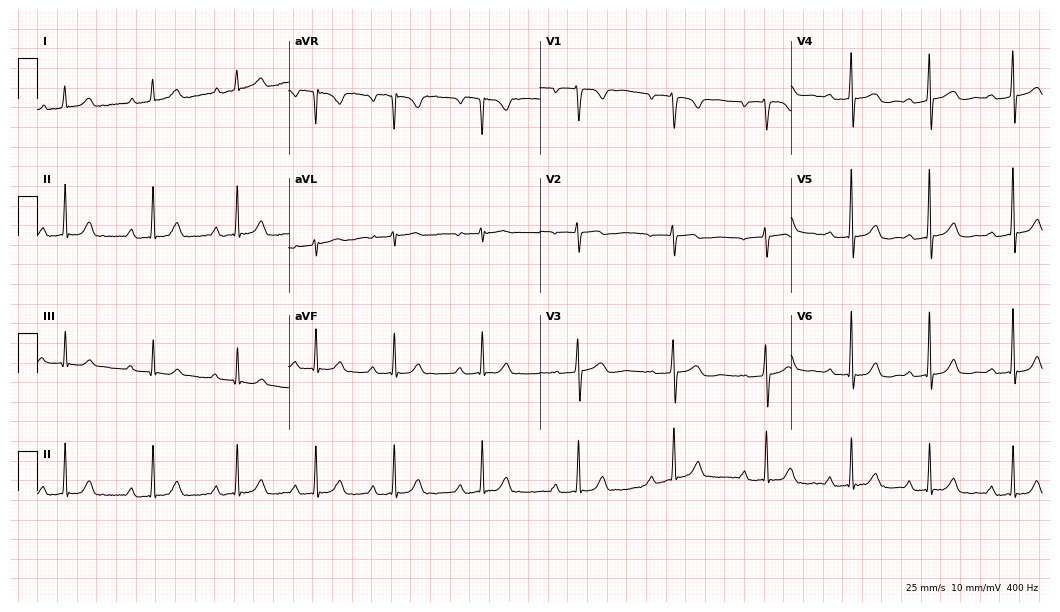
12-lead ECG from a female, 58 years old. Labelled as a normal ECG.